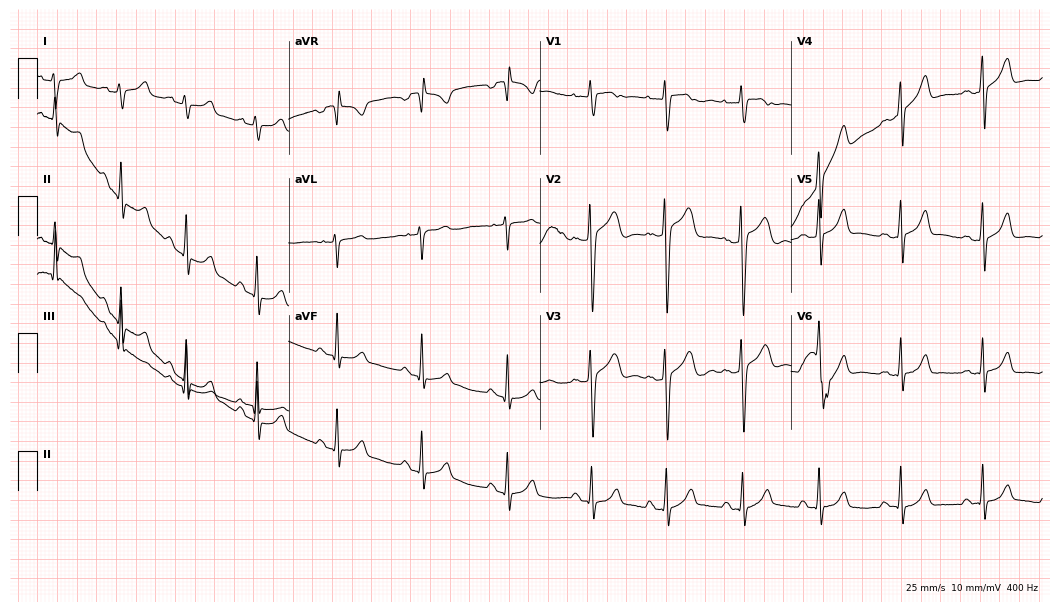
Electrocardiogram, a 17-year-old female patient. Of the six screened findings (first-degree AV block, right bundle branch block, left bundle branch block, sinus bradycardia, atrial fibrillation, sinus tachycardia), none is recorded. Other findings, if any, are not listed.